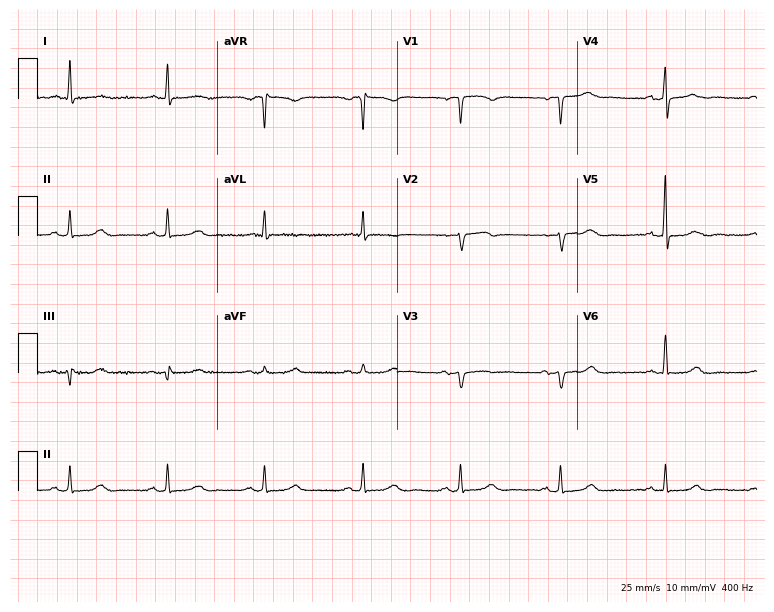
ECG (7.3-second recording at 400 Hz) — a 65-year-old female. Screened for six findings — first-degree AV block, right bundle branch block, left bundle branch block, sinus bradycardia, atrial fibrillation, sinus tachycardia — none is recorded.